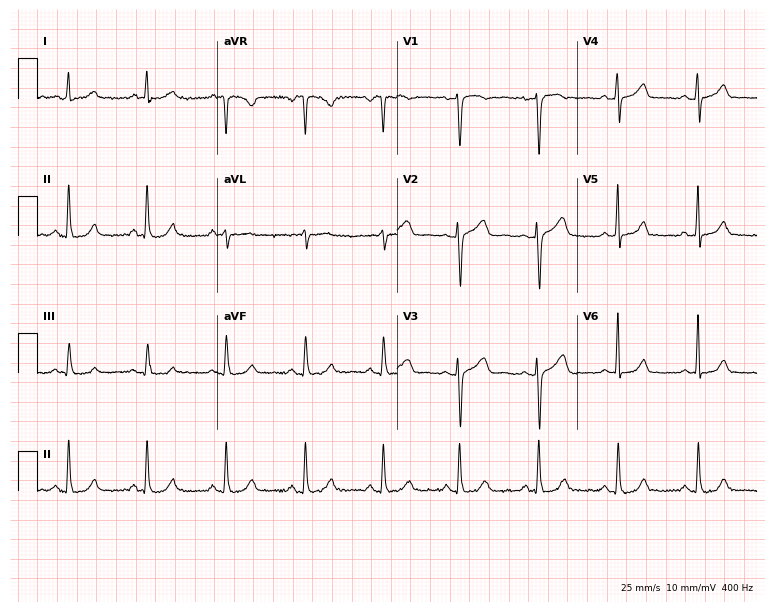
12-lead ECG (7.3-second recording at 400 Hz) from a female, 33 years old. Labelled as a normal ECG.